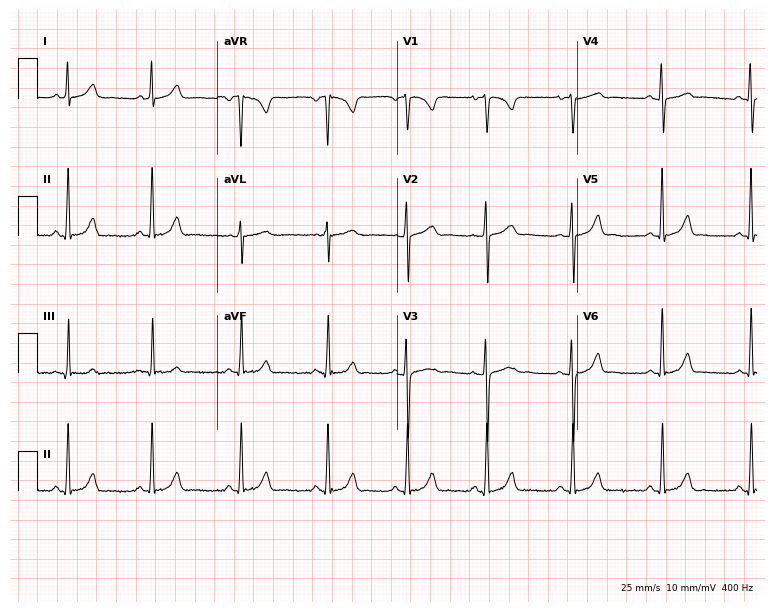
12-lead ECG (7.3-second recording at 400 Hz) from a 17-year-old female patient. Labelled as a normal ECG.